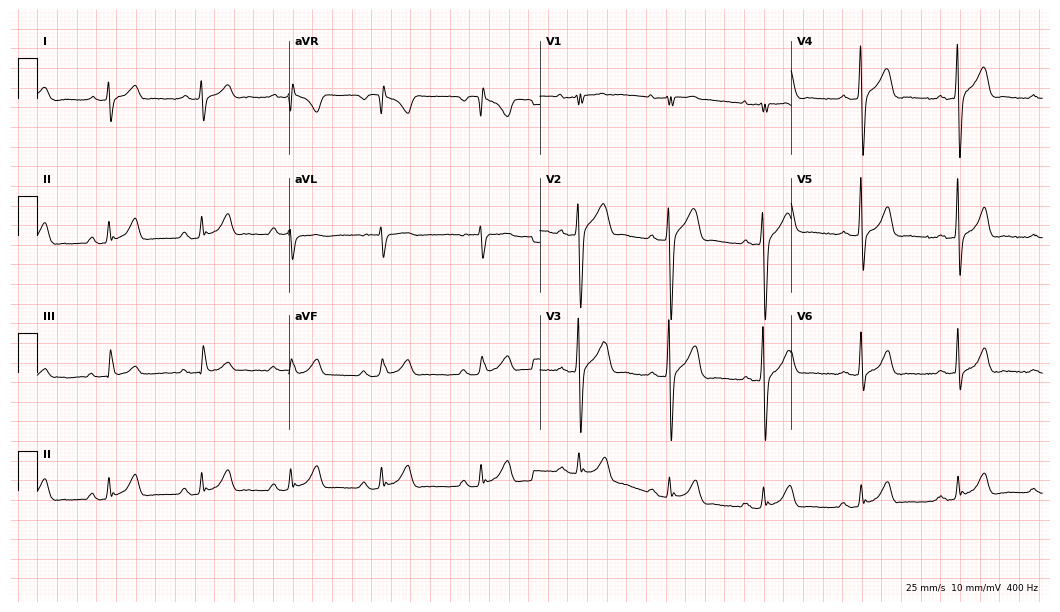
12-lead ECG (10.2-second recording at 400 Hz) from a male patient, 27 years old. Labelled as a normal ECG.